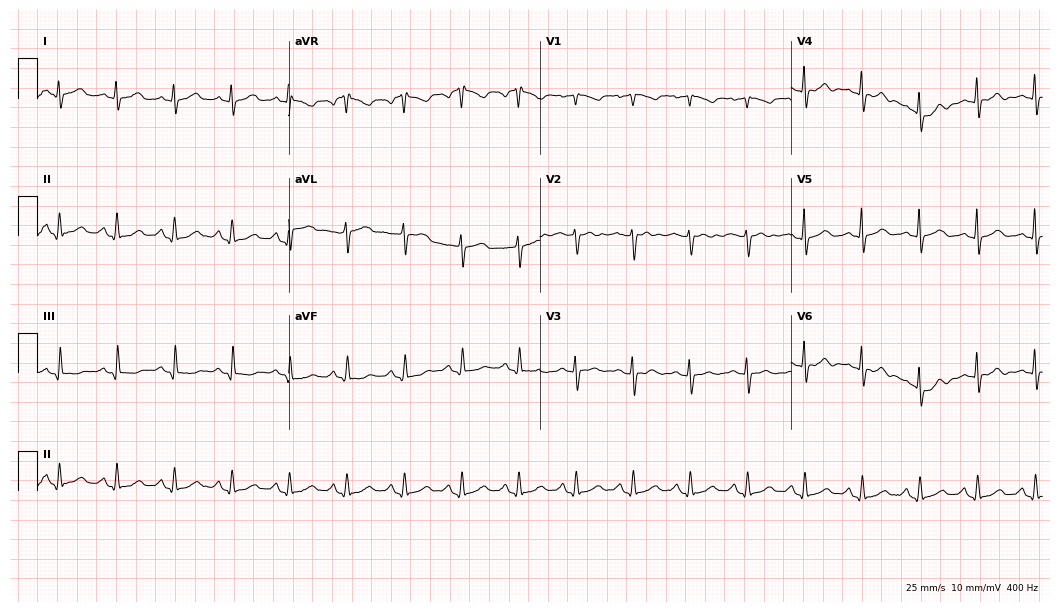
Resting 12-lead electrocardiogram (10.2-second recording at 400 Hz). Patient: a 70-year-old female. The tracing shows sinus tachycardia (a sinus rate of 100 beats per minute or more).